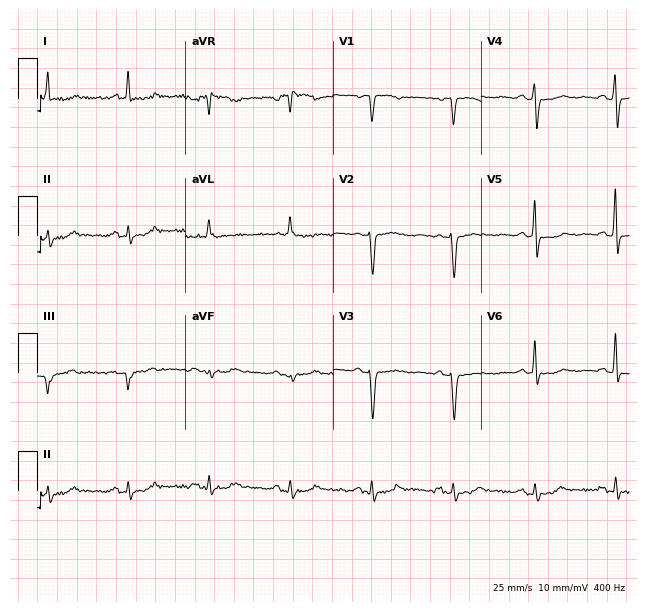
Electrocardiogram, a female patient, 75 years old. Of the six screened findings (first-degree AV block, right bundle branch block, left bundle branch block, sinus bradycardia, atrial fibrillation, sinus tachycardia), none is recorded.